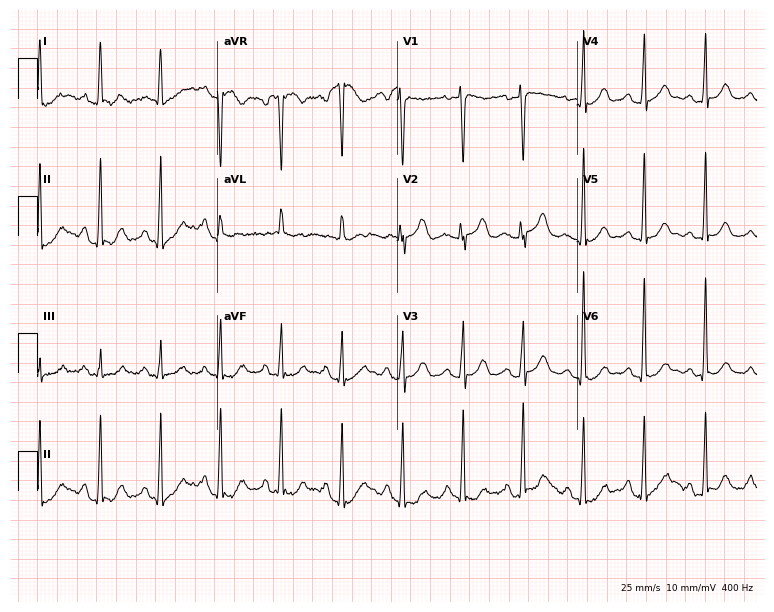
Electrocardiogram, a 73-year-old woman. Of the six screened findings (first-degree AV block, right bundle branch block, left bundle branch block, sinus bradycardia, atrial fibrillation, sinus tachycardia), none is recorded.